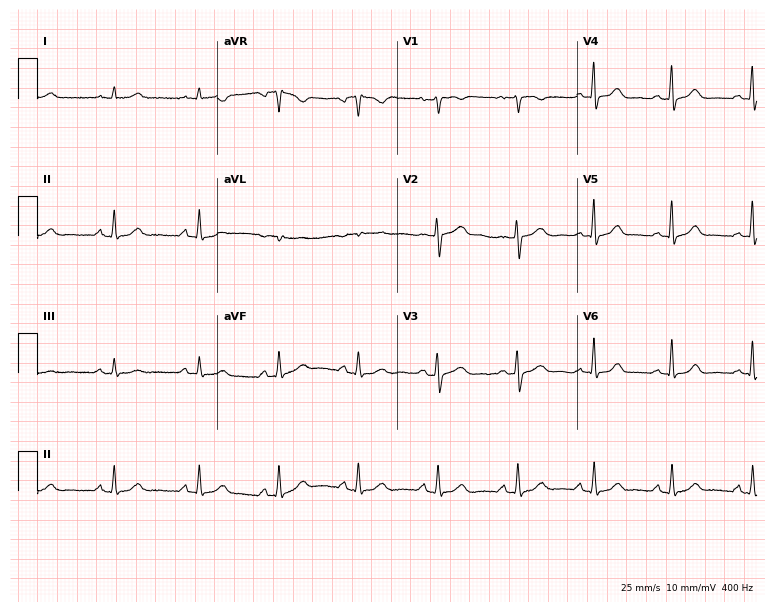
Resting 12-lead electrocardiogram (7.3-second recording at 400 Hz). Patient: a 39-year-old female. None of these six findings is recorded: first-degree AV block, right bundle branch block, left bundle branch block, sinus bradycardia, atrial fibrillation, sinus tachycardia.